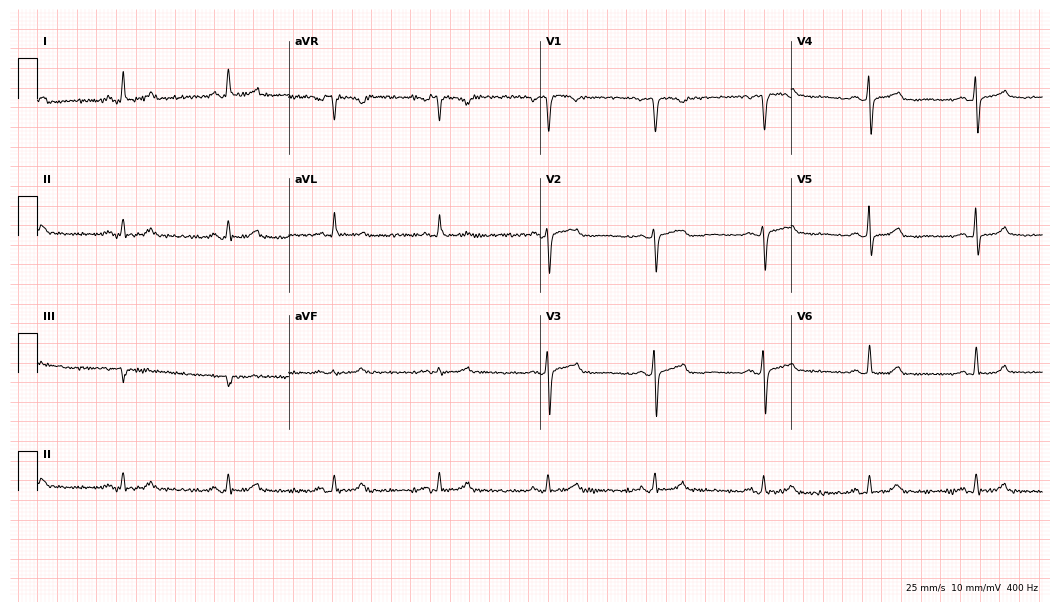
Resting 12-lead electrocardiogram (10.2-second recording at 400 Hz). Patient: a 51-year-old female. None of these six findings is recorded: first-degree AV block, right bundle branch block (RBBB), left bundle branch block (LBBB), sinus bradycardia, atrial fibrillation (AF), sinus tachycardia.